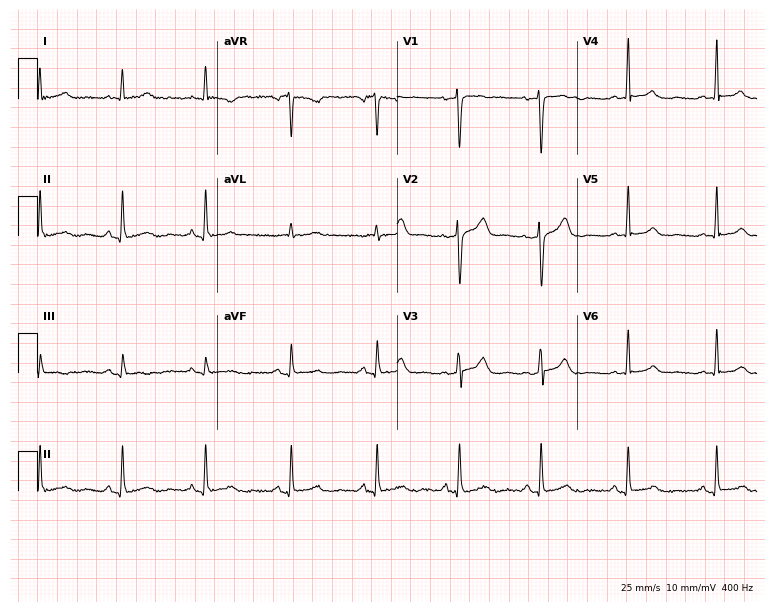
Resting 12-lead electrocardiogram (7.3-second recording at 400 Hz). Patient: a female, 27 years old. None of these six findings is recorded: first-degree AV block, right bundle branch block (RBBB), left bundle branch block (LBBB), sinus bradycardia, atrial fibrillation (AF), sinus tachycardia. Only these six findings were labelled.